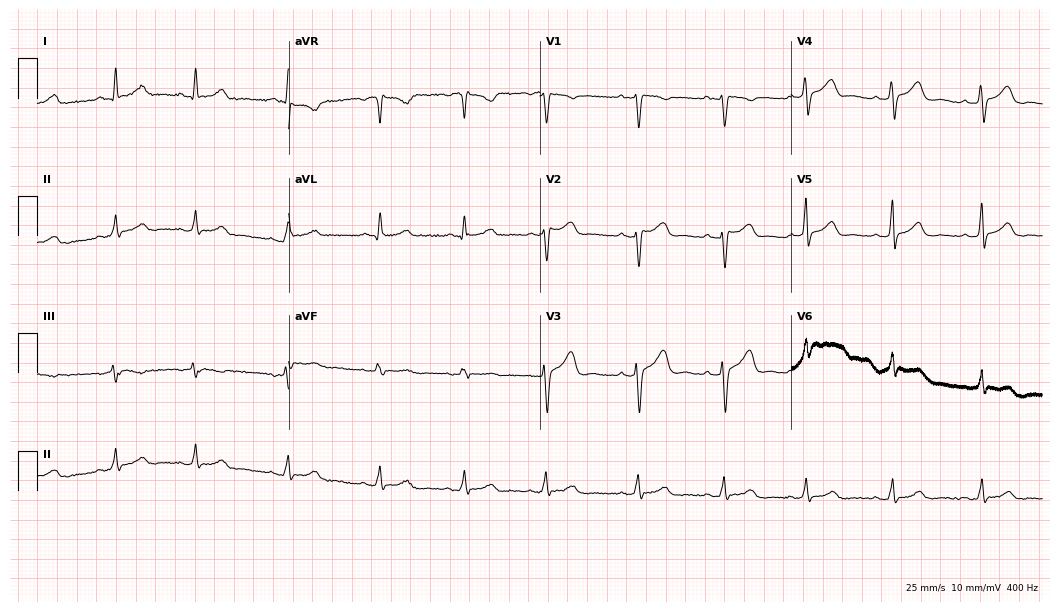
Resting 12-lead electrocardiogram. Patient: a female, 29 years old. None of these six findings is recorded: first-degree AV block, right bundle branch block, left bundle branch block, sinus bradycardia, atrial fibrillation, sinus tachycardia. Findings outside these six are not listed.